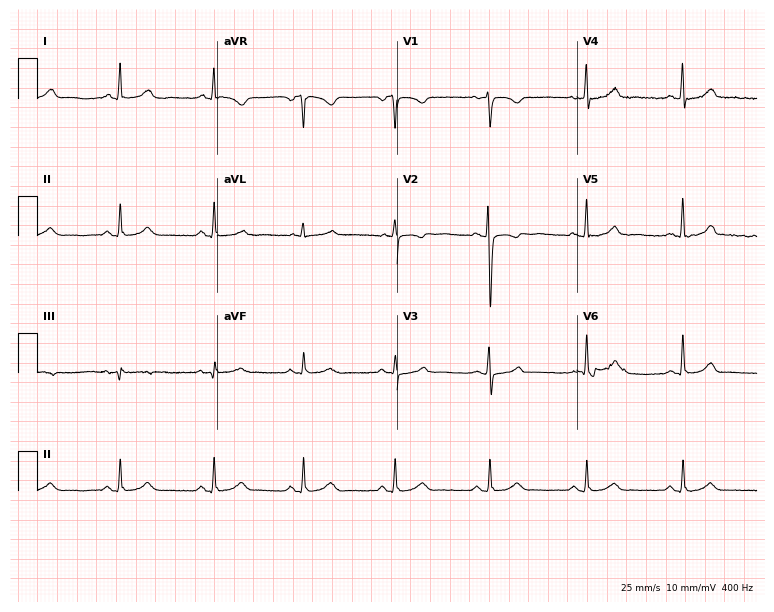
12-lead ECG (7.3-second recording at 400 Hz) from a female, 37 years old. Labelled as a normal ECG.